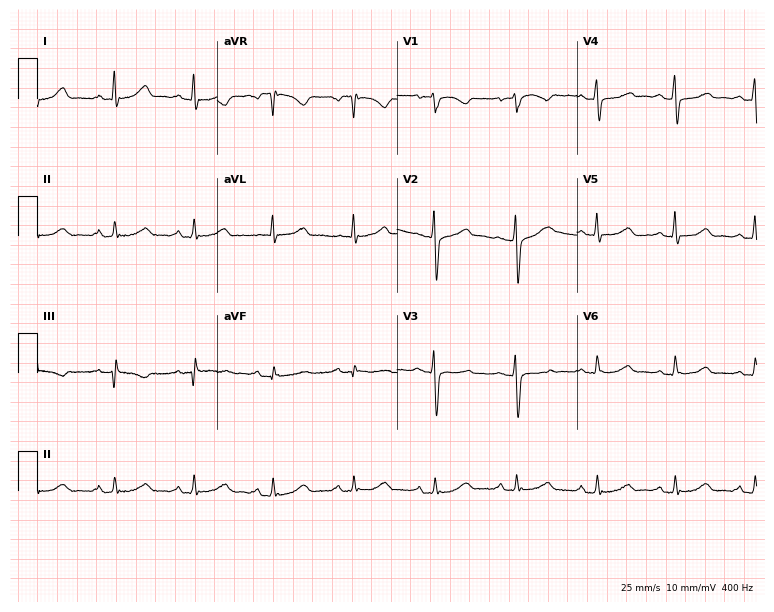
12-lead ECG from a woman, 53 years old. Screened for six findings — first-degree AV block, right bundle branch block, left bundle branch block, sinus bradycardia, atrial fibrillation, sinus tachycardia — none is recorded. Findings outside these six are not listed.